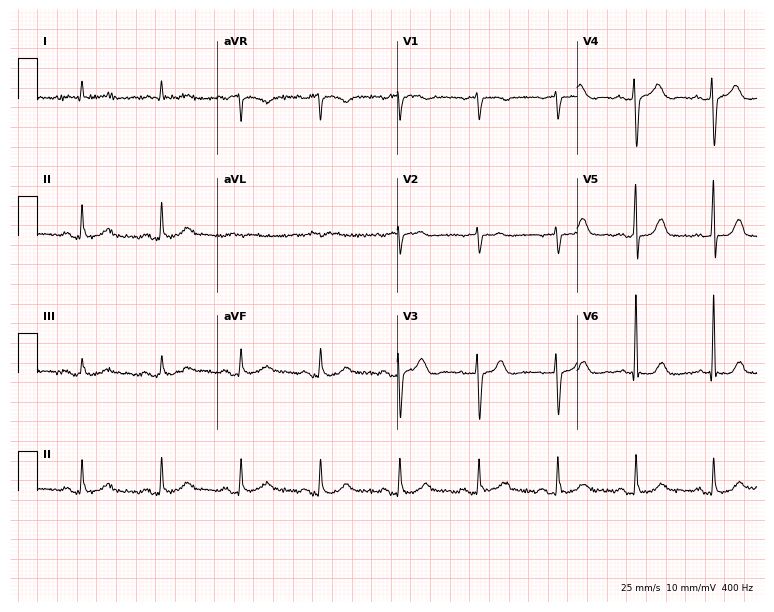
12-lead ECG from a woman, 76 years old. Recorded interpretation: within normal limits.